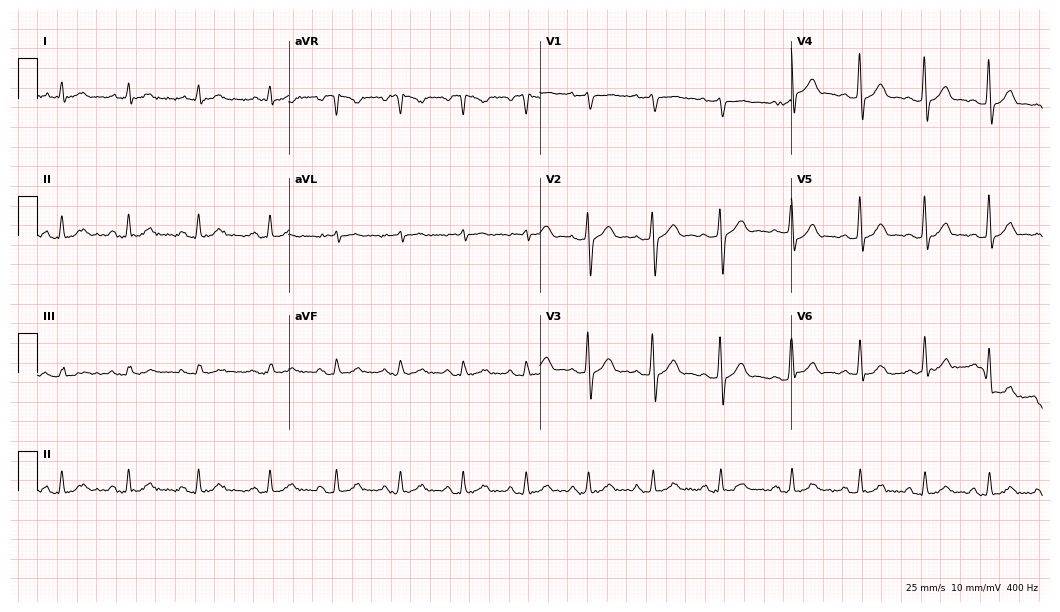
ECG (10.2-second recording at 400 Hz) — a male, 42 years old. Labelled as a normal ECG.